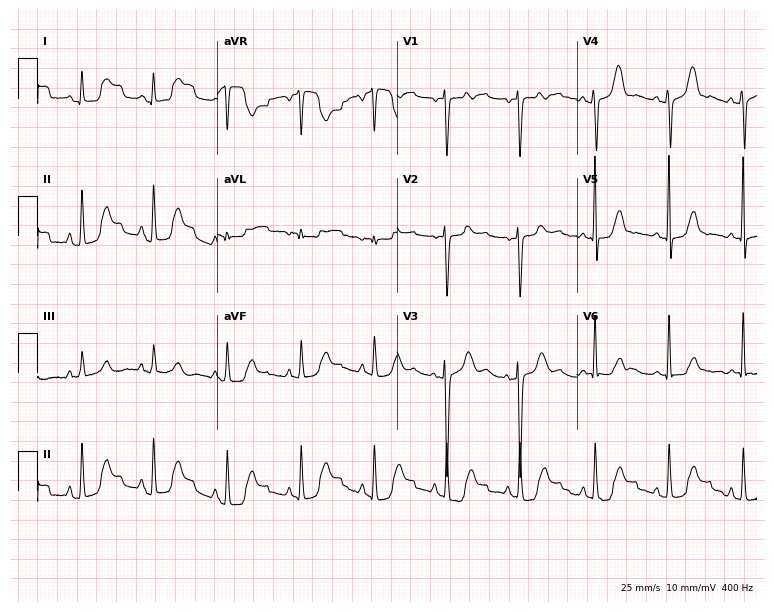
Standard 12-lead ECG recorded from a 62-year-old woman. None of these six findings is recorded: first-degree AV block, right bundle branch block (RBBB), left bundle branch block (LBBB), sinus bradycardia, atrial fibrillation (AF), sinus tachycardia. Findings outside these six are not listed.